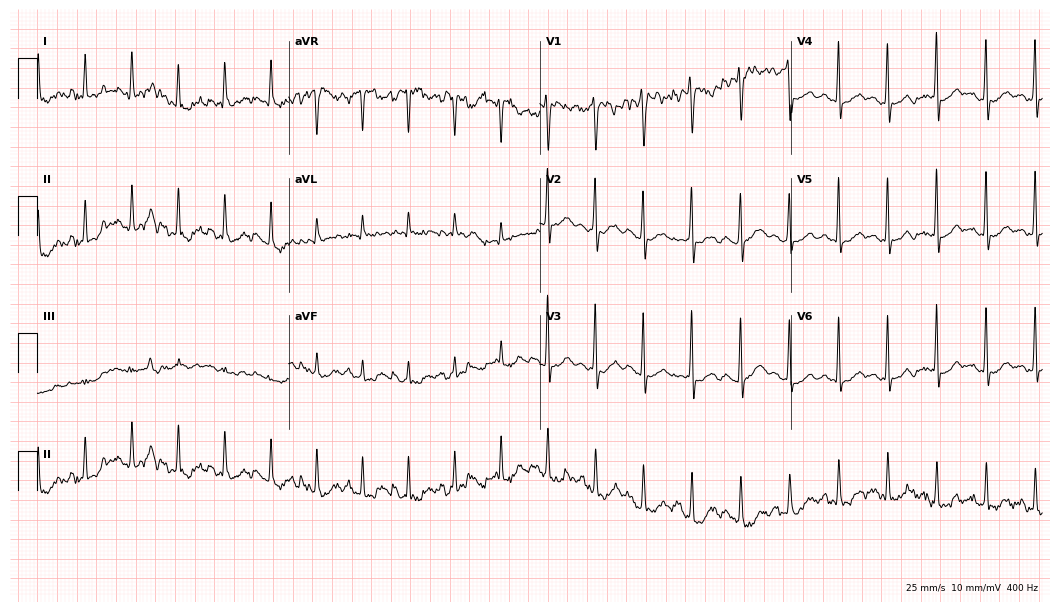
Standard 12-lead ECG recorded from a 33-year-old woman. The tracing shows sinus tachycardia (a sinus rate of 100 beats per minute or more).